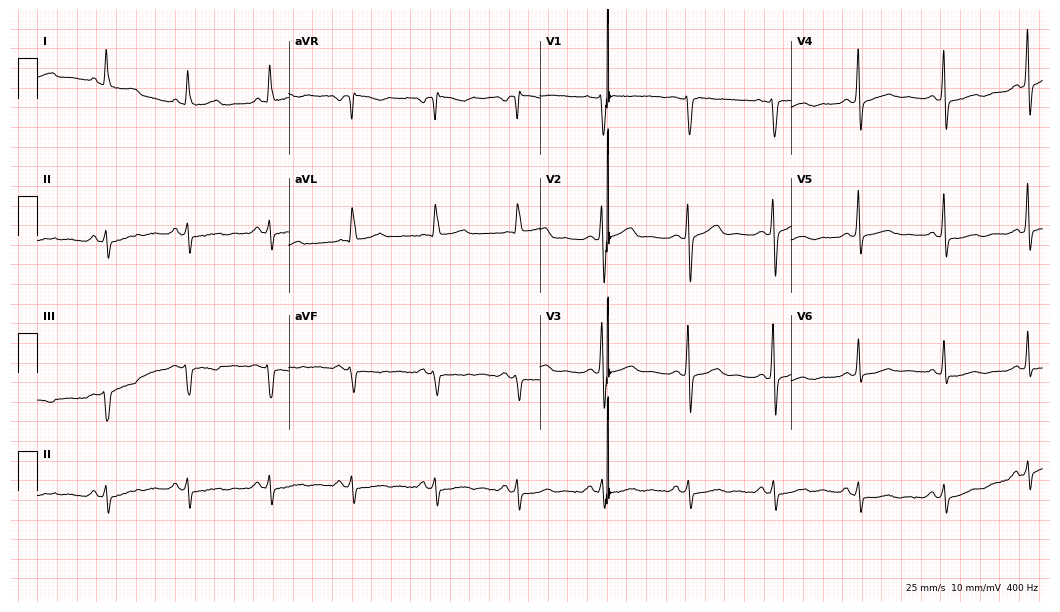
Electrocardiogram (10.2-second recording at 400 Hz), a female, 53 years old. Of the six screened findings (first-degree AV block, right bundle branch block, left bundle branch block, sinus bradycardia, atrial fibrillation, sinus tachycardia), none is recorded. Other findings, if any, are not listed.